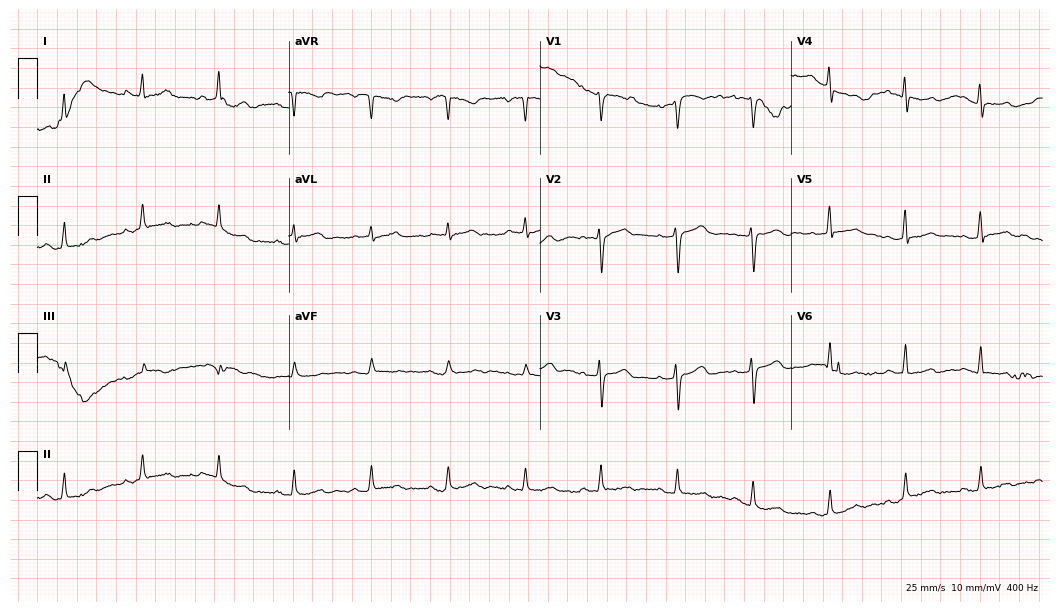
ECG — a 60-year-old female patient. Screened for six findings — first-degree AV block, right bundle branch block, left bundle branch block, sinus bradycardia, atrial fibrillation, sinus tachycardia — none is recorded.